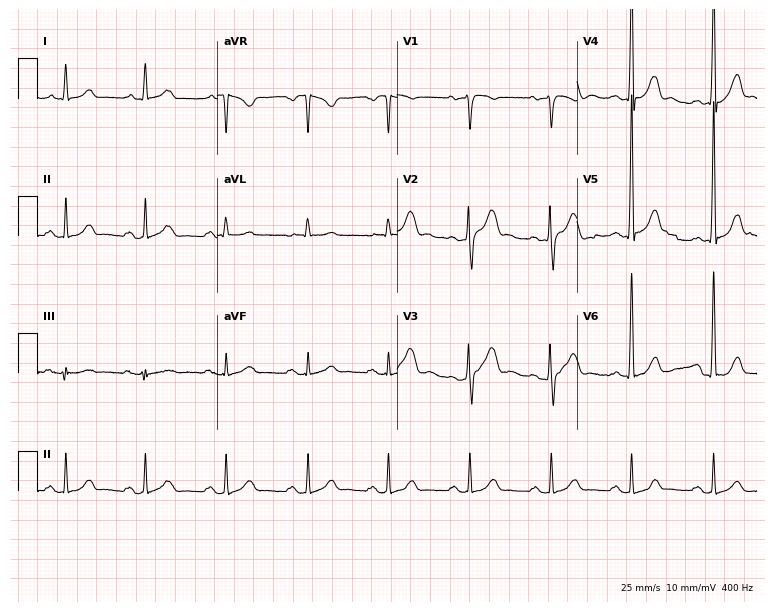
Resting 12-lead electrocardiogram (7.3-second recording at 400 Hz). Patient: a 54-year-old man. None of these six findings is recorded: first-degree AV block, right bundle branch block, left bundle branch block, sinus bradycardia, atrial fibrillation, sinus tachycardia. Other findings, if any, are not listed.